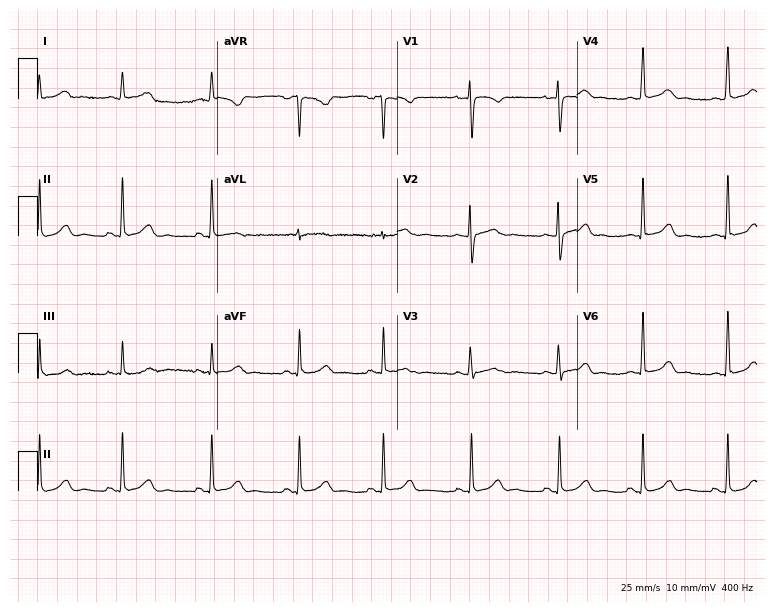
ECG — a 25-year-old female. Labelled as a normal ECG.